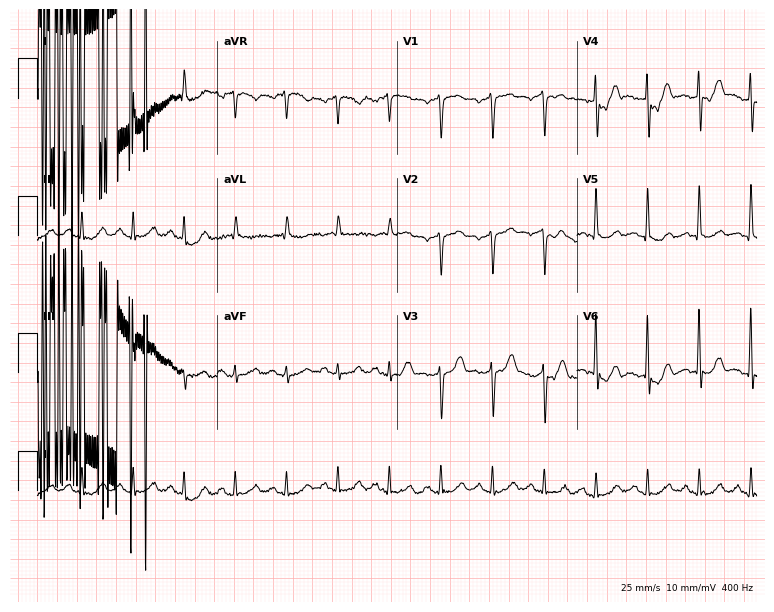
Electrocardiogram, a 66-year-old female patient. Interpretation includes sinus tachycardia (a sinus rate of 100 beats per minute or more).